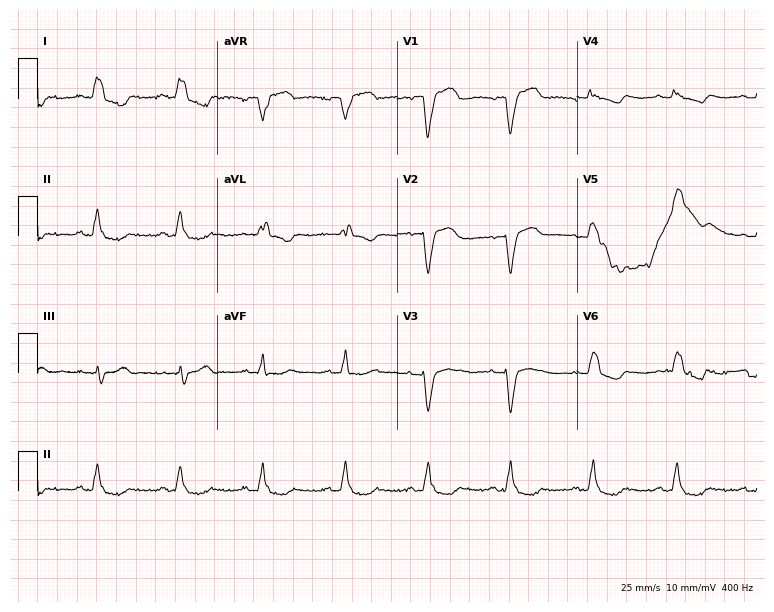
Standard 12-lead ECG recorded from a woman, 60 years old. The tracing shows left bundle branch block (LBBB).